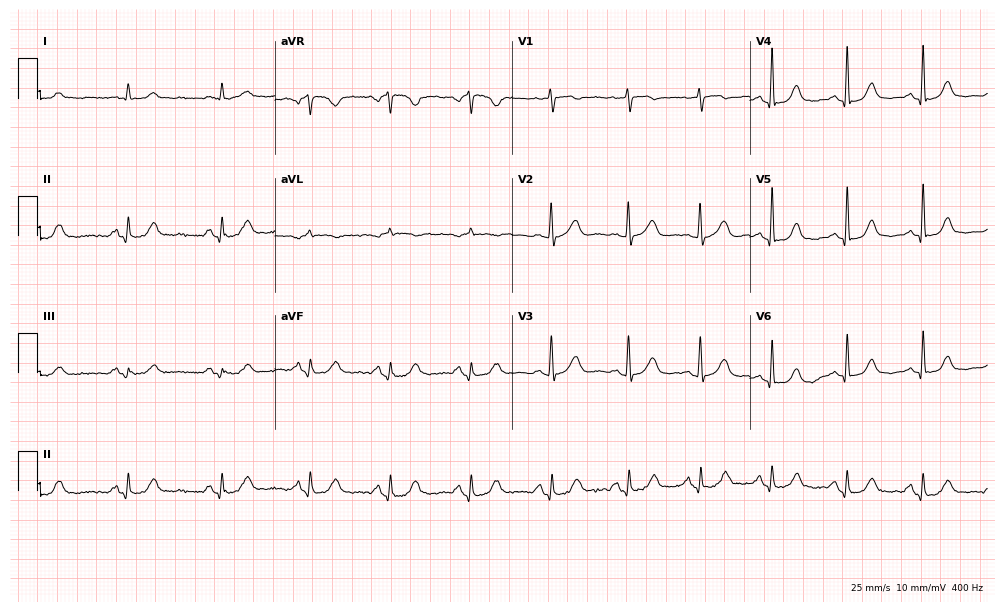
Resting 12-lead electrocardiogram. Patient: a female, 83 years old. Read as a normal ECG.